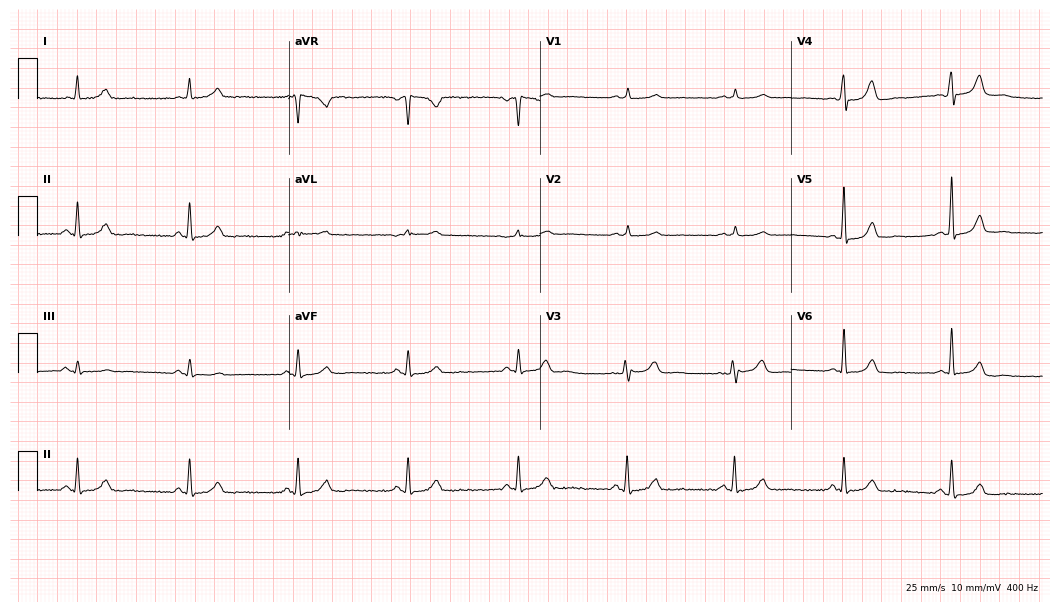
12-lead ECG (10.2-second recording at 400 Hz) from a female, 57 years old. Labelled as a normal ECG.